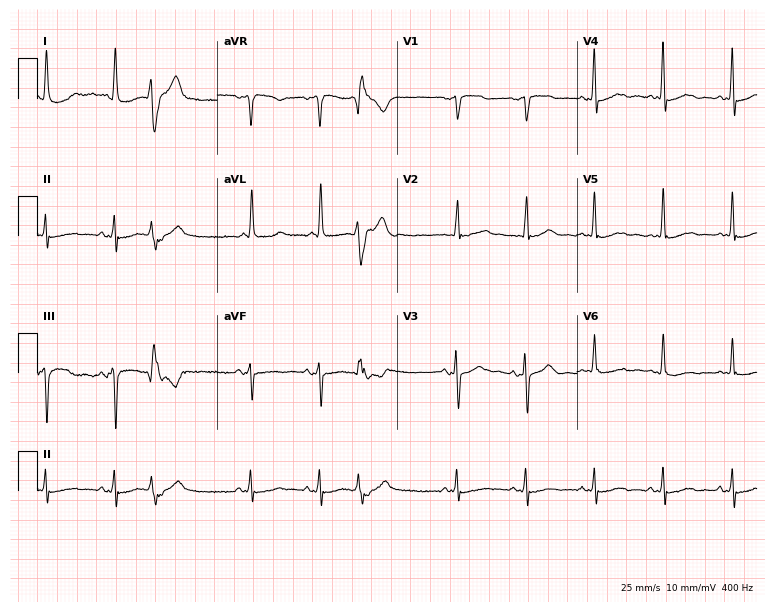
12-lead ECG from a 79-year-old woman. Screened for six findings — first-degree AV block, right bundle branch block (RBBB), left bundle branch block (LBBB), sinus bradycardia, atrial fibrillation (AF), sinus tachycardia — none is recorded. Findings outside these six are not listed.